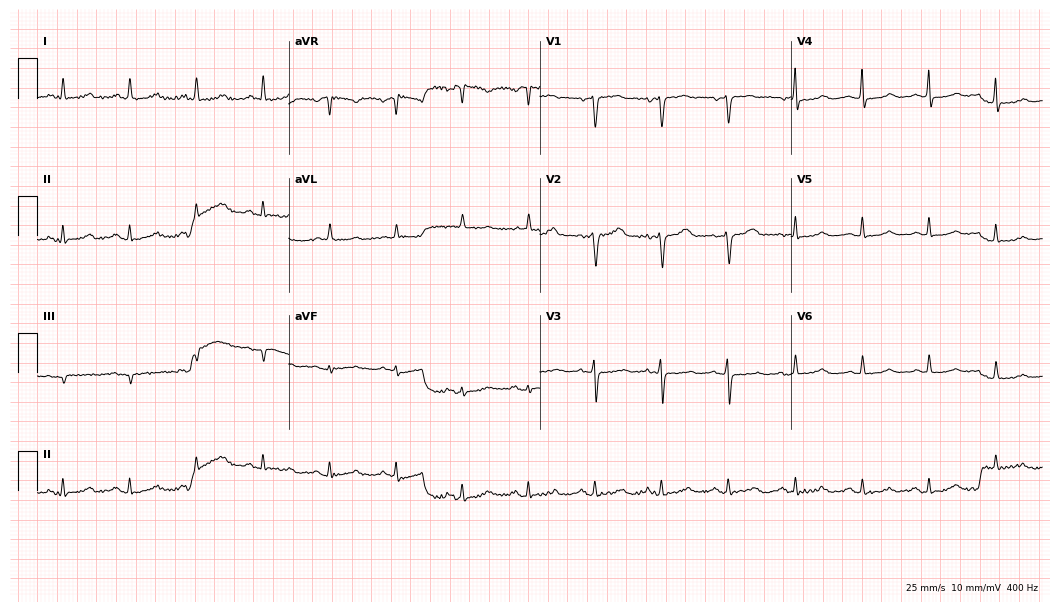
12-lead ECG (10.2-second recording at 400 Hz) from a 67-year-old female patient. Labelled as a normal ECG.